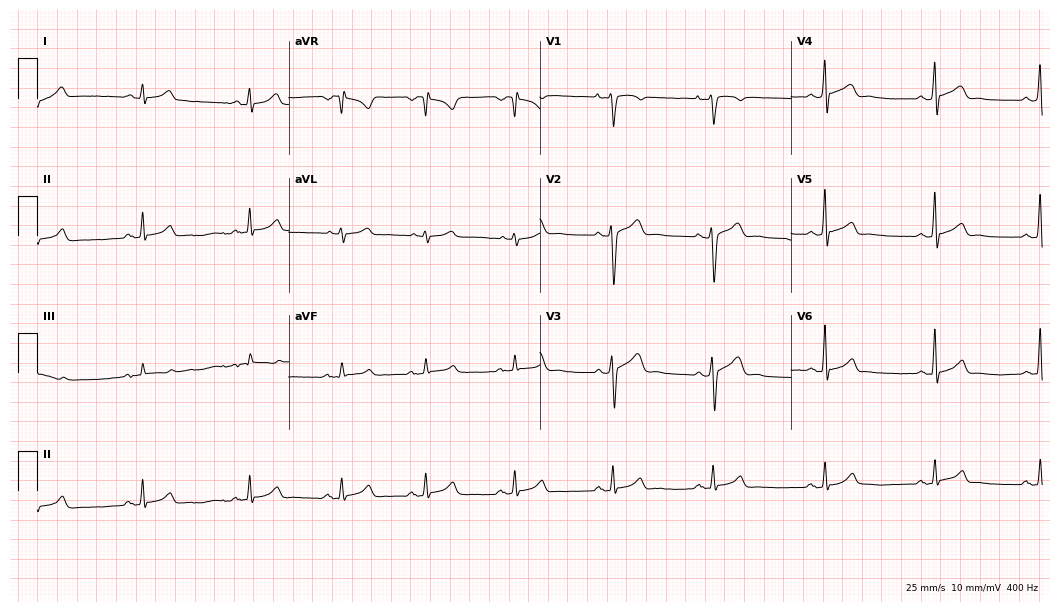
Resting 12-lead electrocardiogram (10.2-second recording at 400 Hz). Patient: a 22-year-old male. Read as a normal ECG.